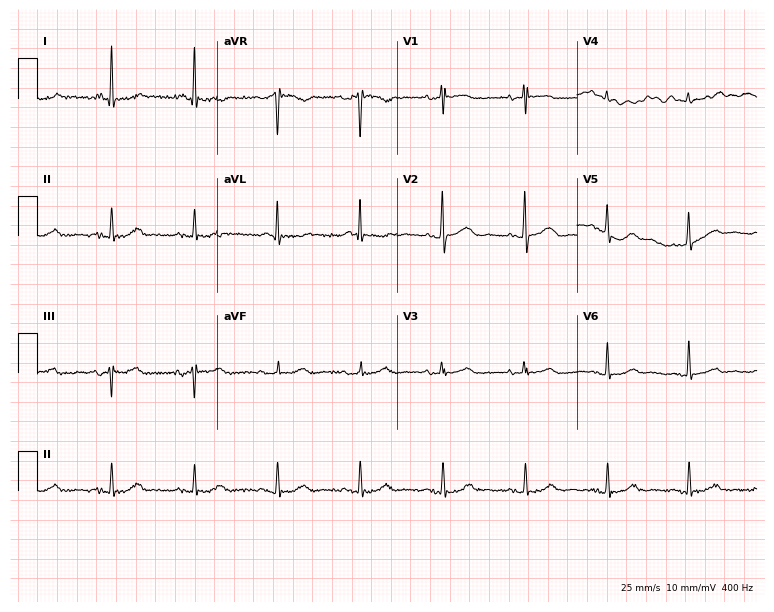
12-lead ECG from a man, 73 years old. Screened for six findings — first-degree AV block, right bundle branch block (RBBB), left bundle branch block (LBBB), sinus bradycardia, atrial fibrillation (AF), sinus tachycardia — none is recorded. Only these six findings were labelled.